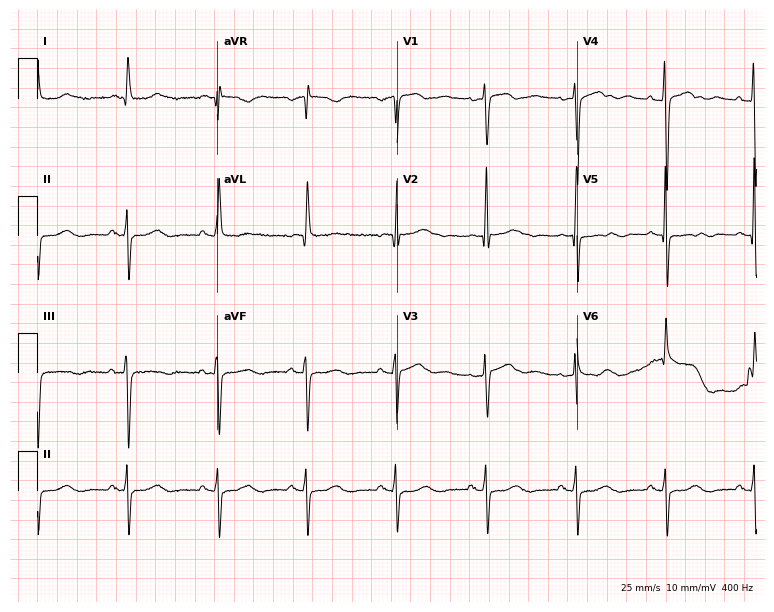
12-lead ECG from a 68-year-old female (7.3-second recording at 400 Hz). No first-degree AV block, right bundle branch block, left bundle branch block, sinus bradycardia, atrial fibrillation or sinus tachycardia recorded for this tracing.